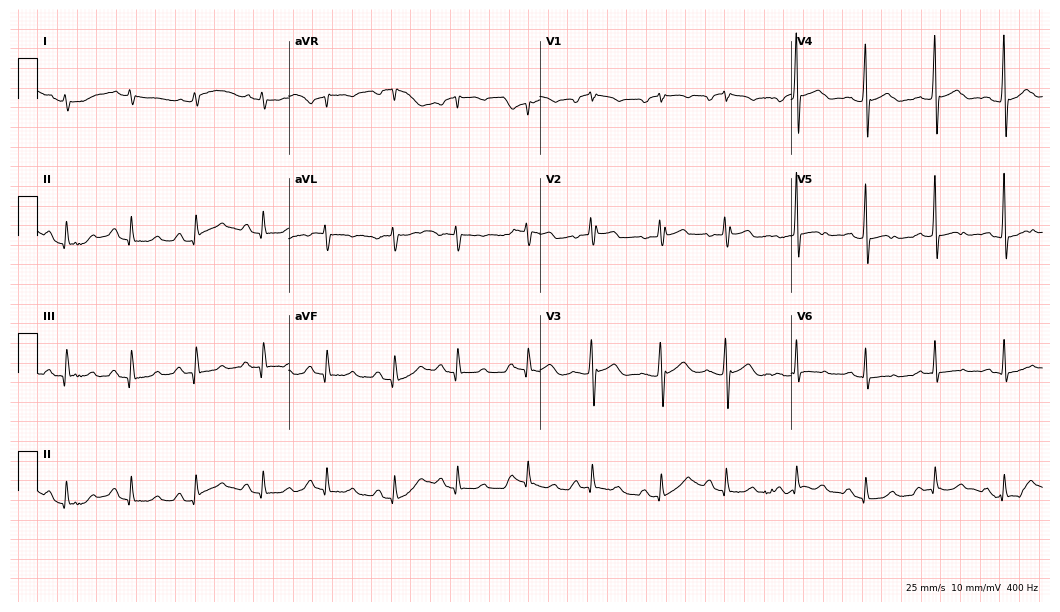
Standard 12-lead ECG recorded from an 80-year-old man. None of these six findings is recorded: first-degree AV block, right bundle branch block, left bundle branch block, sinus bradycardia, atrial fibrillation, sinus tachycardia. Only these six findings were labelled.